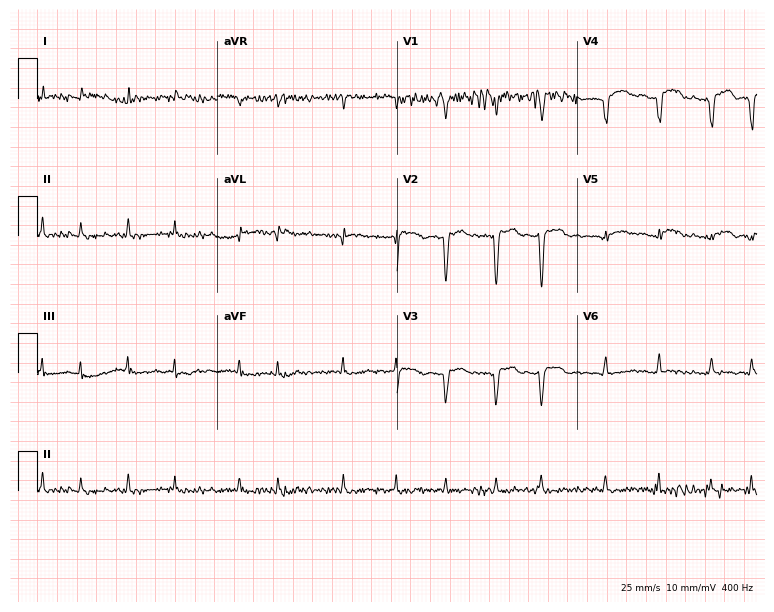
12-lead ECG from a 69-year-old man. No first-degree AV block, right bundle branch block (RBBB), left bundle branch block (LBBB), sinus bradycardia, atrial fibrillation (AF) or sinus tachycardia recorded for this tracing.